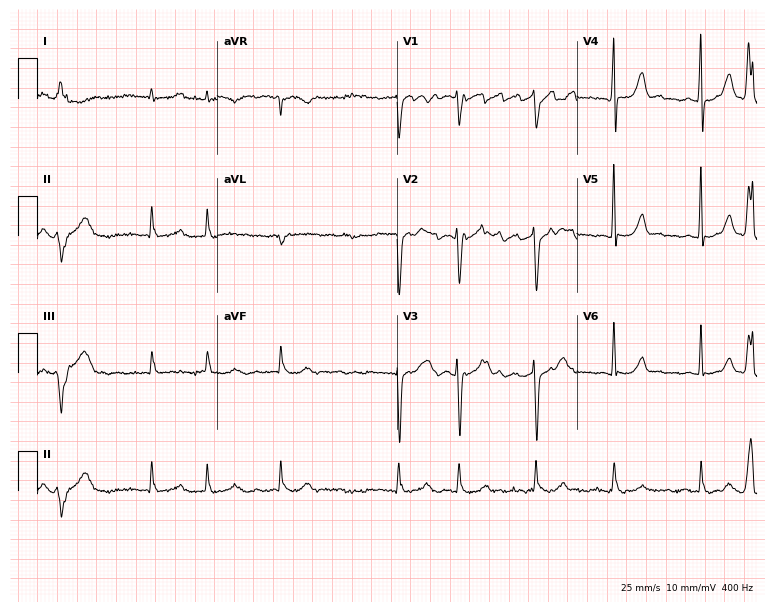
ECG (7.3-second recording at 400 Hz) — an 82-year-old male. Findings include atrial fibrillation (AF).